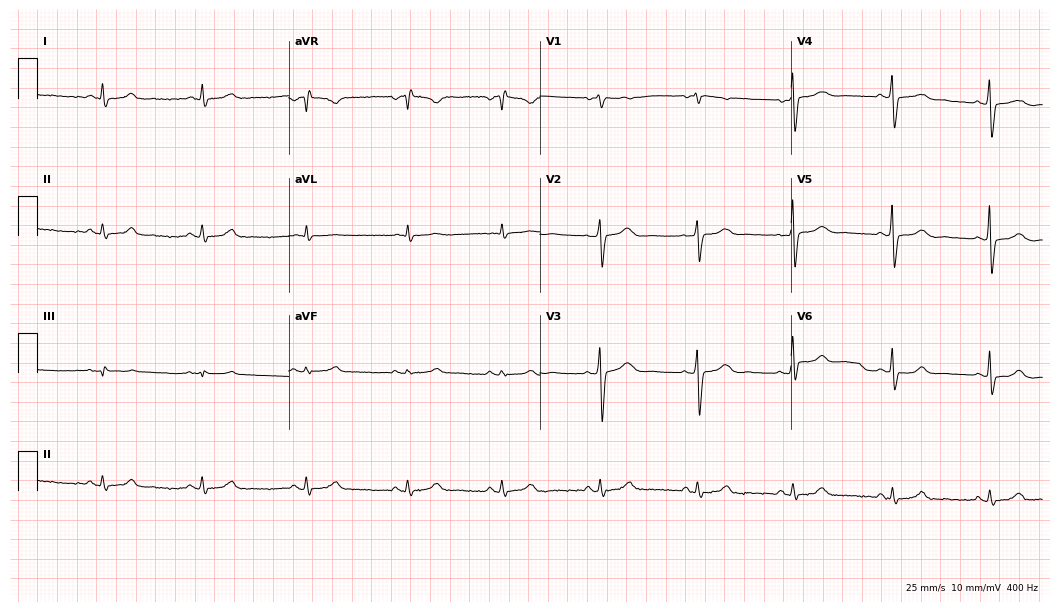
ECG — a female patient, 42 years old. Labelled as a normal ECG.